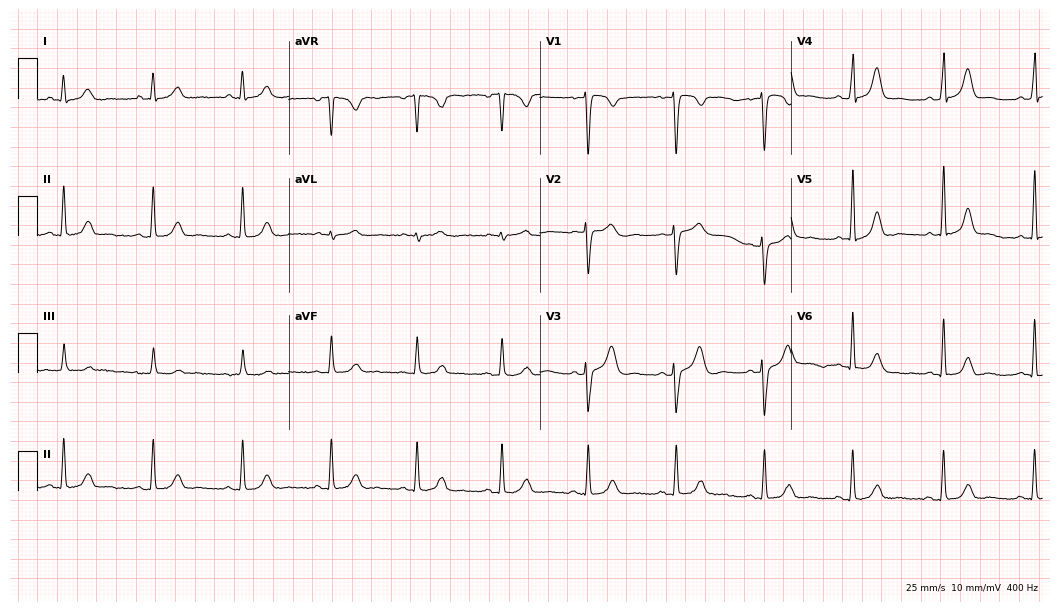
Standard 12-lead ECG recorded from a woman, 44 years old. Read as a normal ECG.